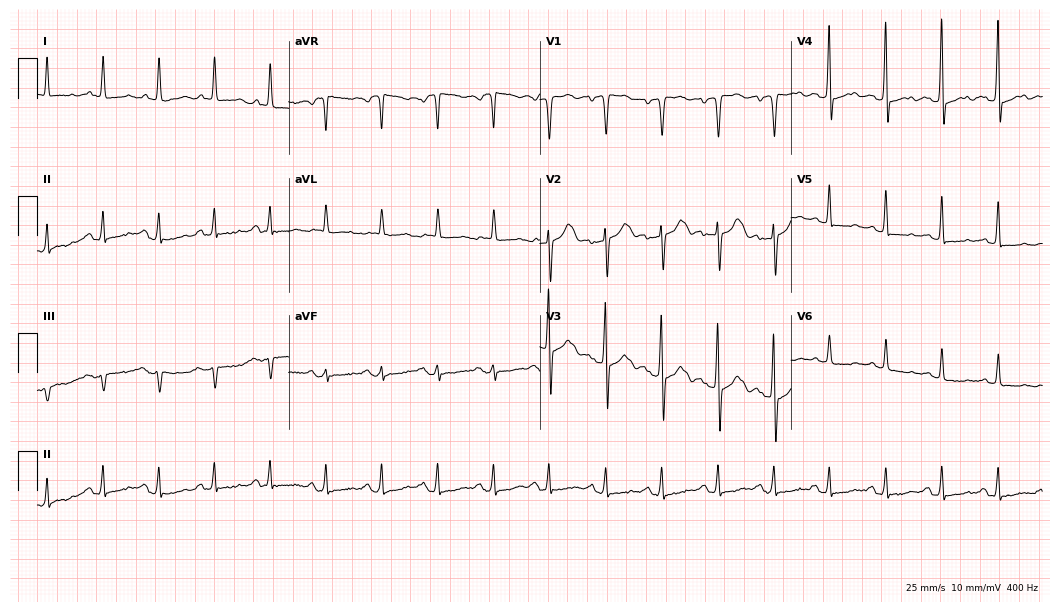
Resting 12-lead electrocardiogram. Patient: a 79-year-old woman. None of these six findings is recorded: first-degree AV block, right bundle branch block, left bundle branch block, sinus bradycardia, atrial fibrillation, sinus tachycardia.